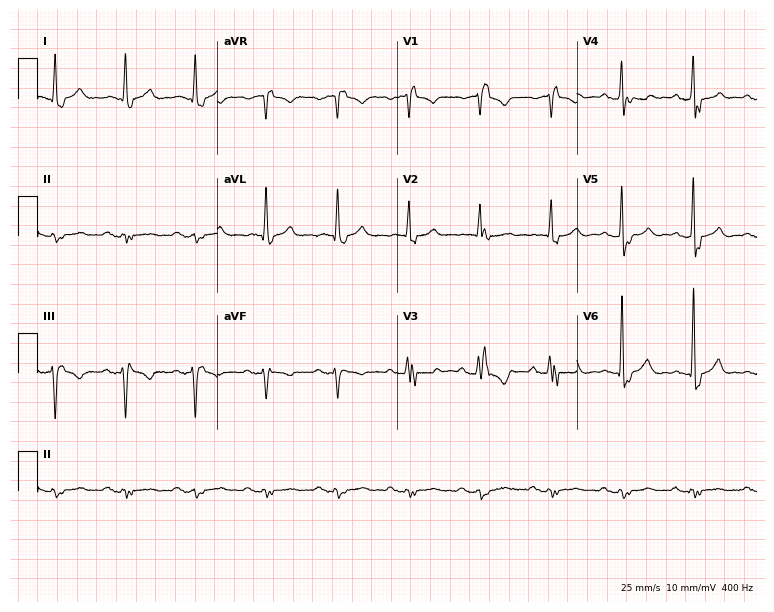
Resting 12-lead electrocardiogram (7.3-second recording at 400 Hz). Patient: a 73-year-old male. The tracing shows right bundle branch block.